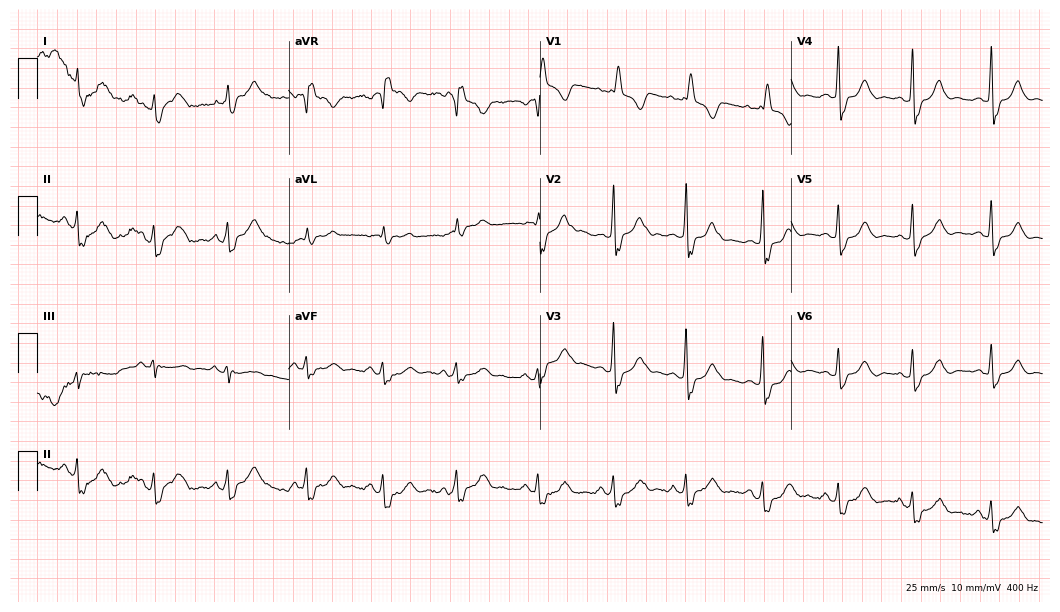
ECG — a woman, 45 years old. Findings include right bundle branch block (RBBB).